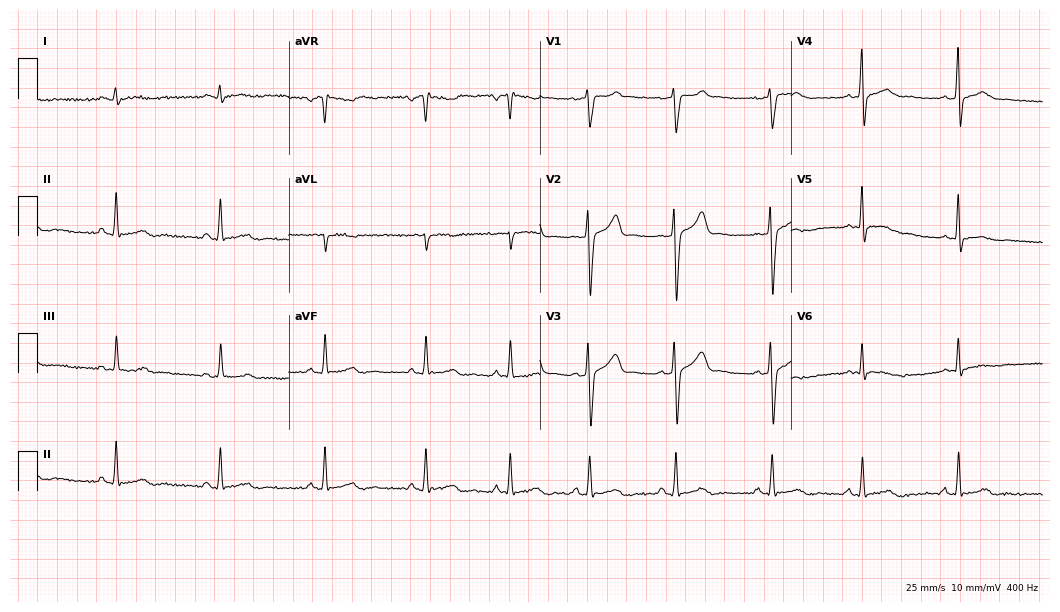
Resting 12-lead electrocardiogram (10.2-second recording at 400 Hz). Patient: a 38-year-old man. Read as a normal ECG.